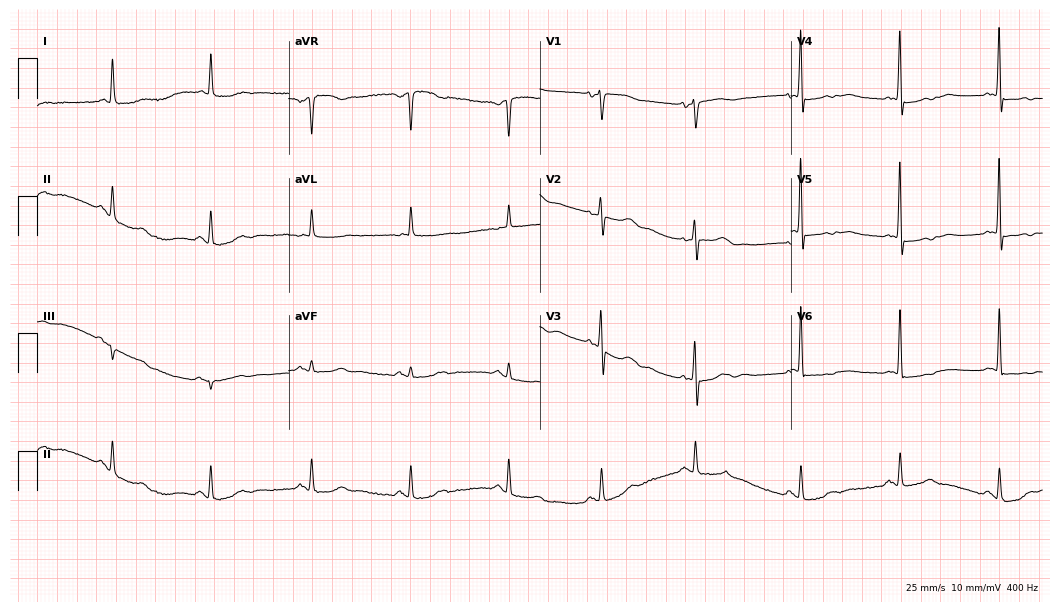
Resting 12-lead electrocardiogram (10.2-second recording at 400 Hz). Patient: a female, 85 years old. Read as a normal ECG.